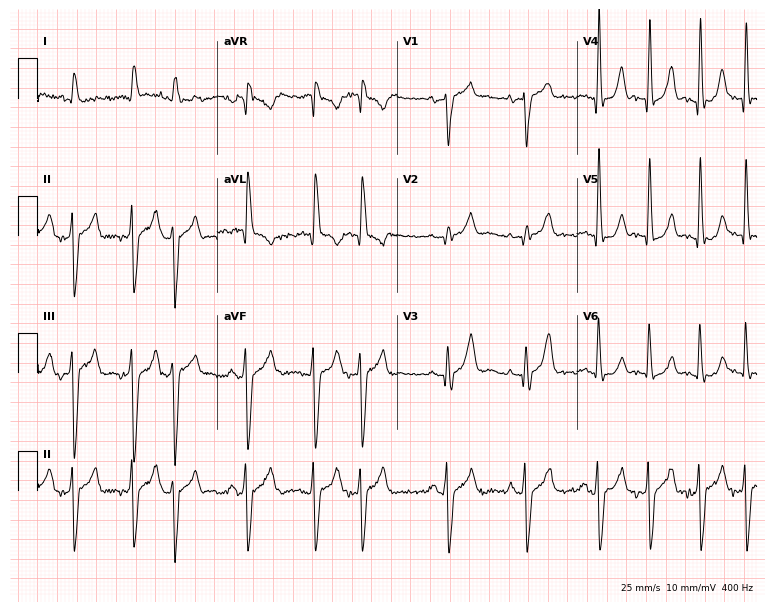
12-lead ECG from a male patient, 85 years old. No first-degree AV block, right bundle branch block, left bundle branch block, sinus bradycardia, atrial fibrillation or sinus tachycardia recorded for this tracing.